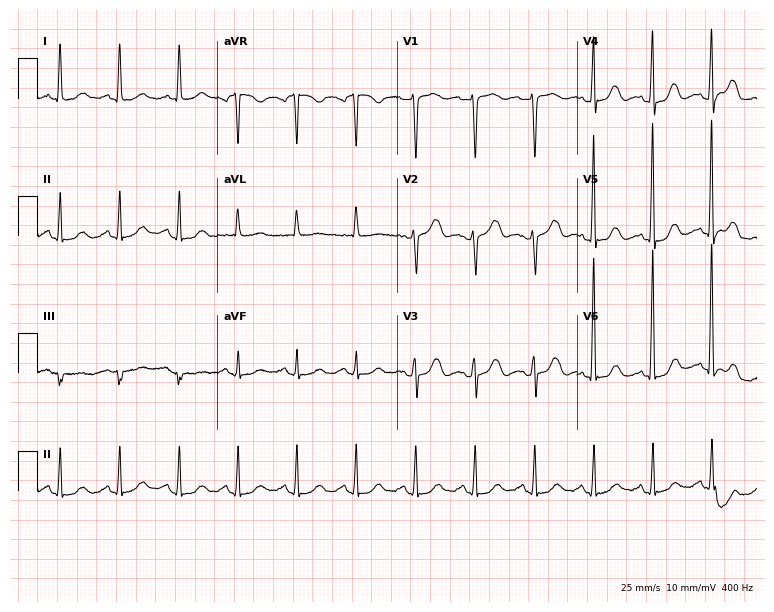
Resting 12-lead electrocardiogram (7.3-second recording at 400 Hz). Patient: a 64-year-old woman. None of these six findings is recorded: first-degree AV block, right bundle branch block, left bundle branch block, sinus bradycardia, atrial fibrillation, sinus tachycardia.